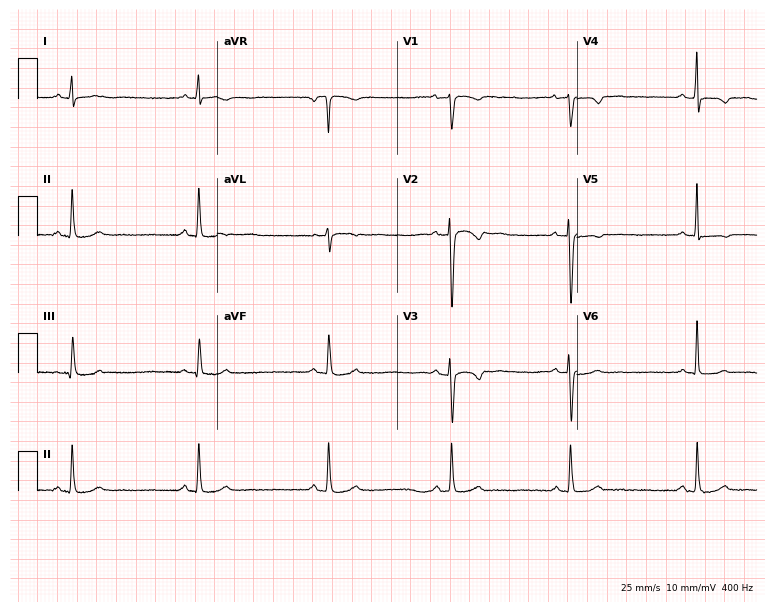
12-lead ECG from a woman, 25 years old. Findings include sinus bradycardia (a sinus rate of 50 beats per minute or less).